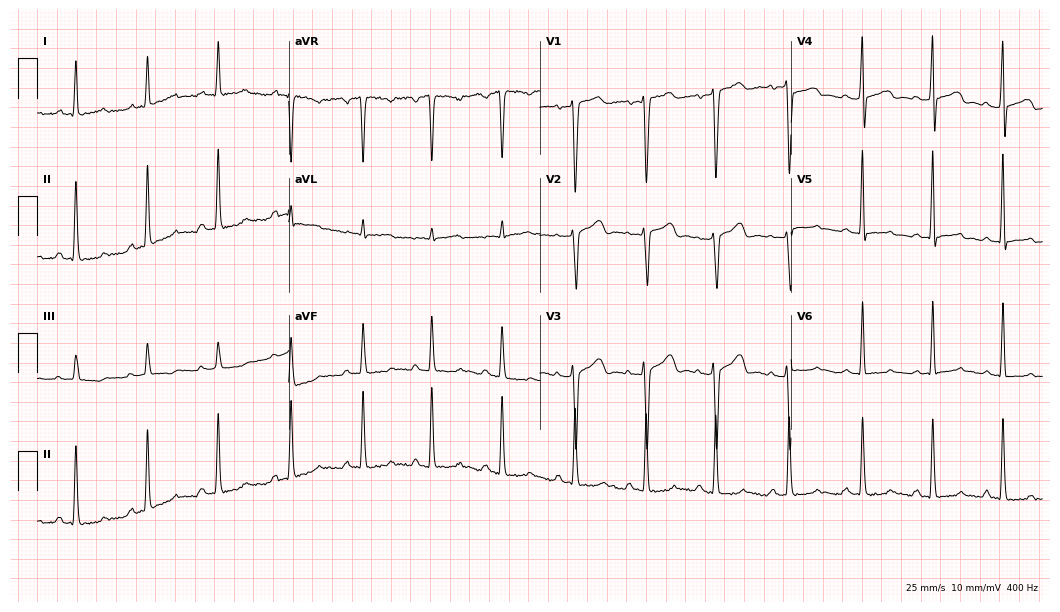
Resting 12-lead electrocardiogram. Patient: a 27-year-old female. Read as a normal ECG.